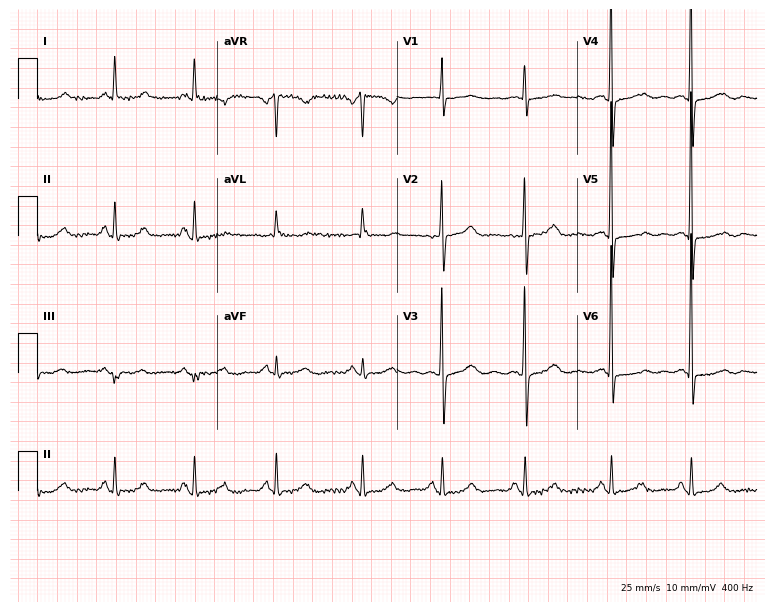
12-lead ECG from a 74-year-old woman. No first-degree AV block, right bundle branch block, left bundle branch block, sinus bradycardia, atrial fibrillation or sinus tachycardia recorded for this tracing. Findings outside these six are not listed.